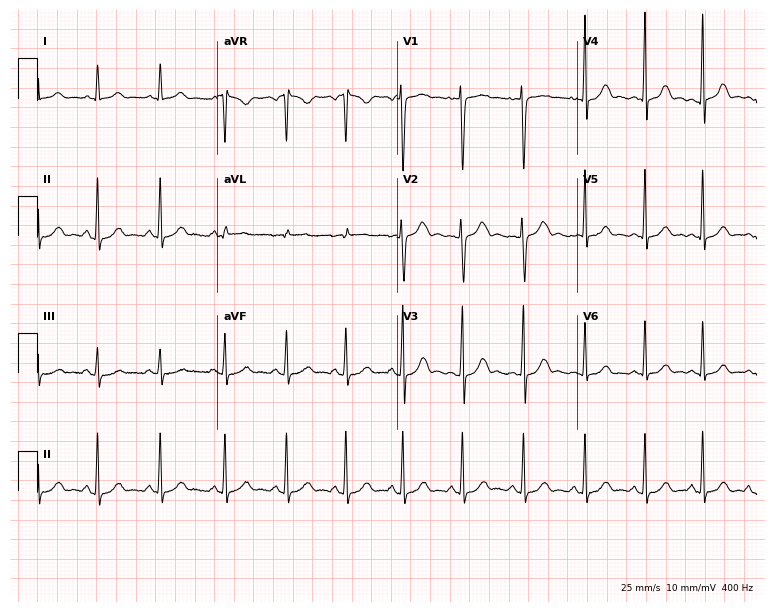
12-lead ECG (7.3-second recording at 400 Hz) from a 17-year-old woman. Screened for six findings — first-degree AV block, right bundle branch block, left bundle branch block, sinus bradycardia, atrial fibrillation, sinus tachycardia — none is recorded.